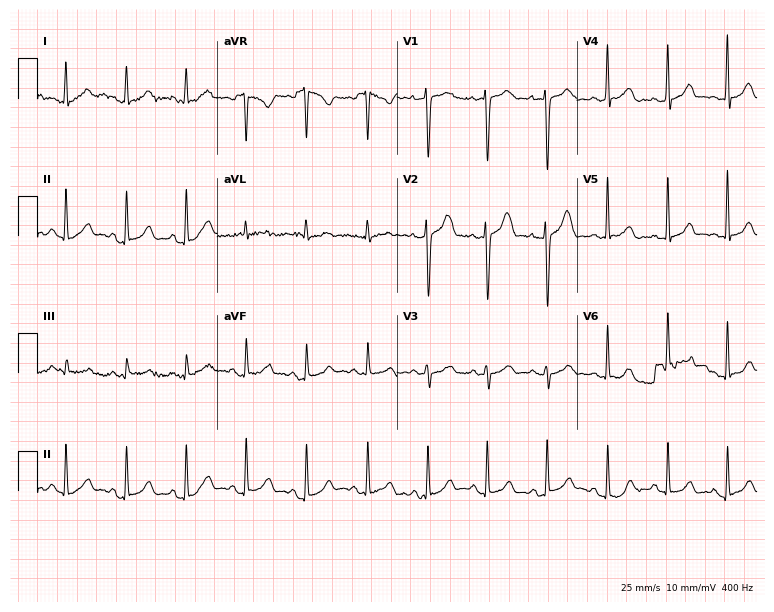
12-lead ECG from a woman, 33 years old. No first-degree AV block, right bundle branch block (RBBB), left bundle branch block (LBBB), sinus bradycardia, atrial fibrillation (AF) or sinus tachycardia recorded for this tracing. Only these six findings were labelled.